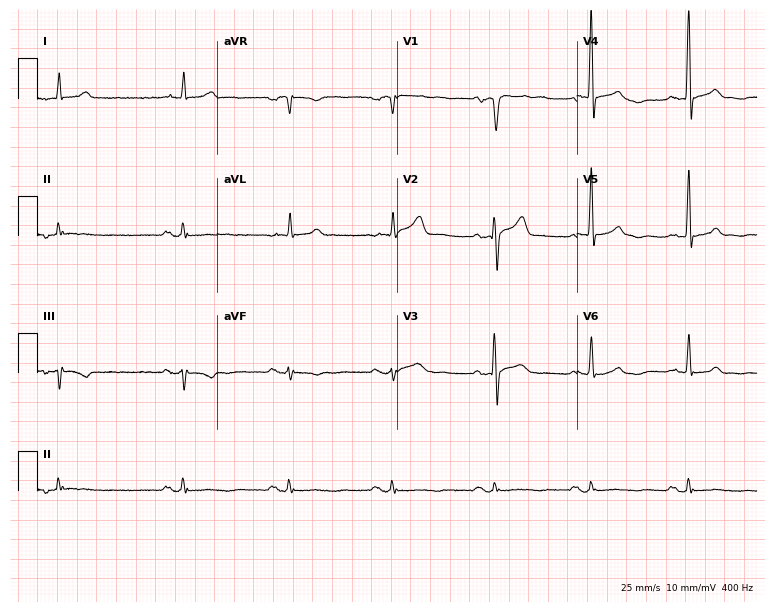
Electrocardiogram (7.3-second recording at 400 Hz), a male patient, 68 years old. Of the six screened findings (first-degree AV block, right bundle branch block, left bundle branch block, sinus bradycardia, atrial fibrillation, sinus tachycardia), none is recorded. Findings outside these six are not listed.